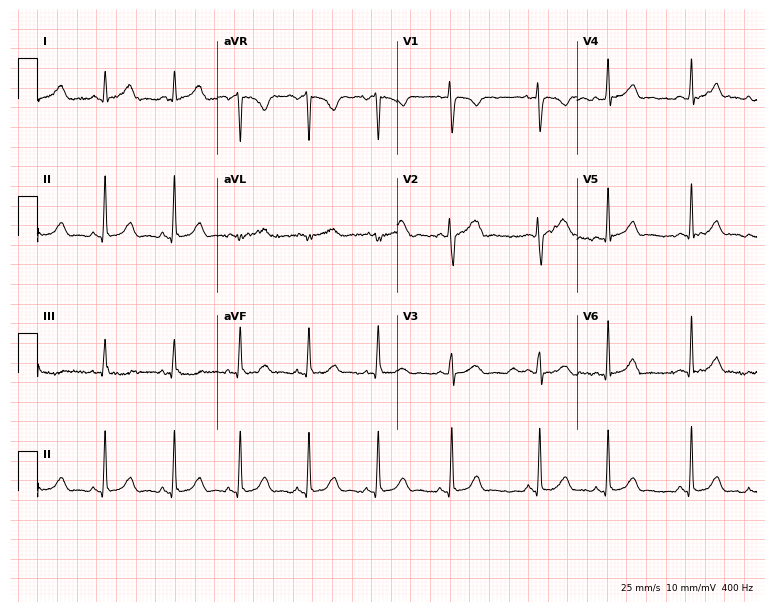
12-lead ECG from a female, 17 years old. Recorded interpretation: within normal limits.